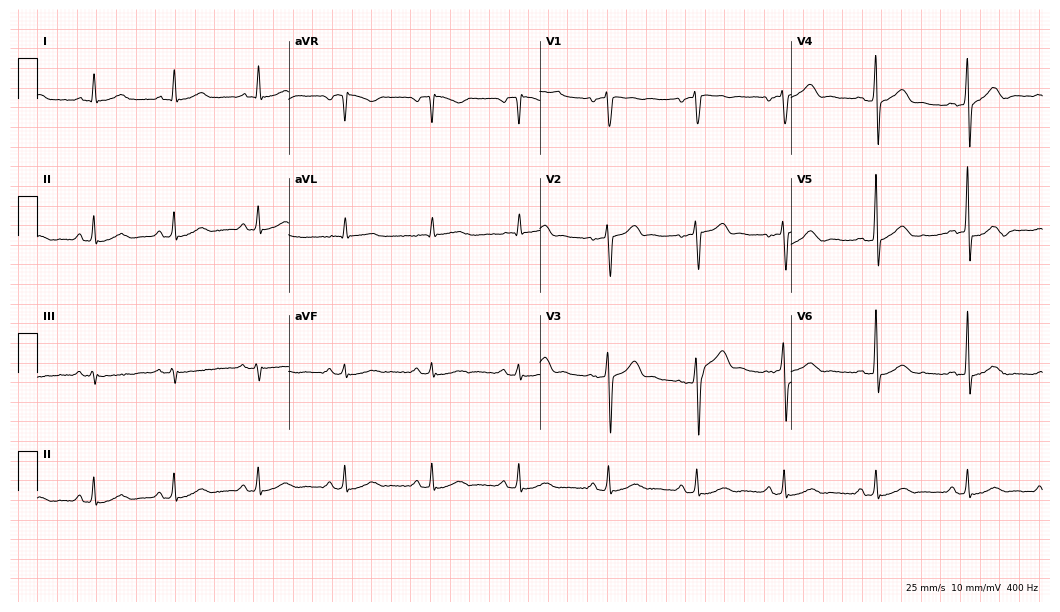
12-lead ECG from a male patient, 56 years old. Recorded interpretation: within normal limits.